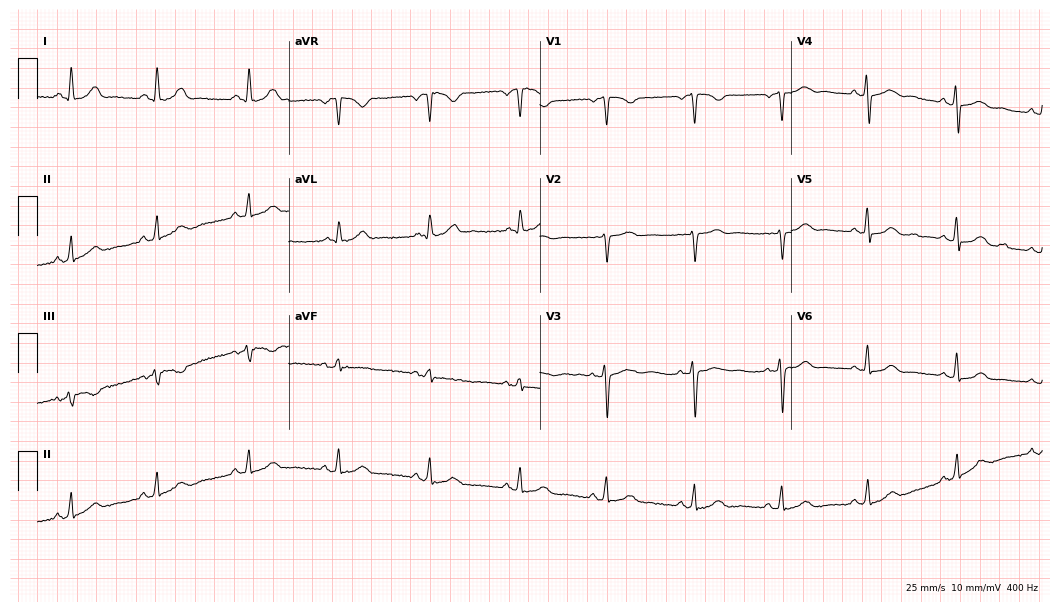
Resting 12-lead electrocardiogram. Patient: a 62-year-old female. Read as a normal ECG.